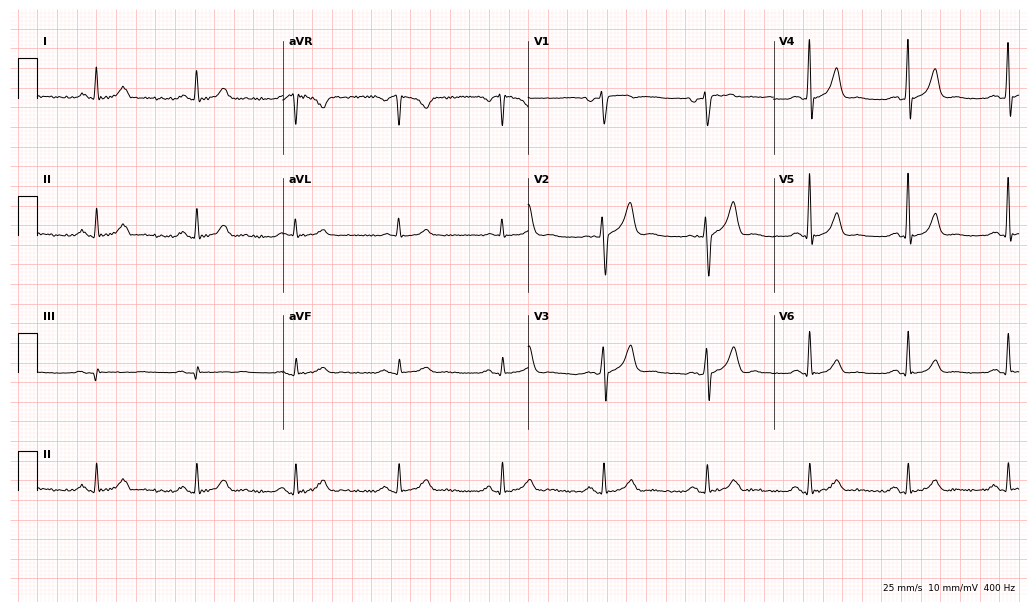
Resting 12-lead electrocardiogram. Patient: a male, 59 years old. None of these six findings is recorded: first-degree AV block, right bundle branch block (RBBB), left bundle branch block (LBBB), sinus bradycardia, atrial fibrillation (AF), sinus tachycardia.